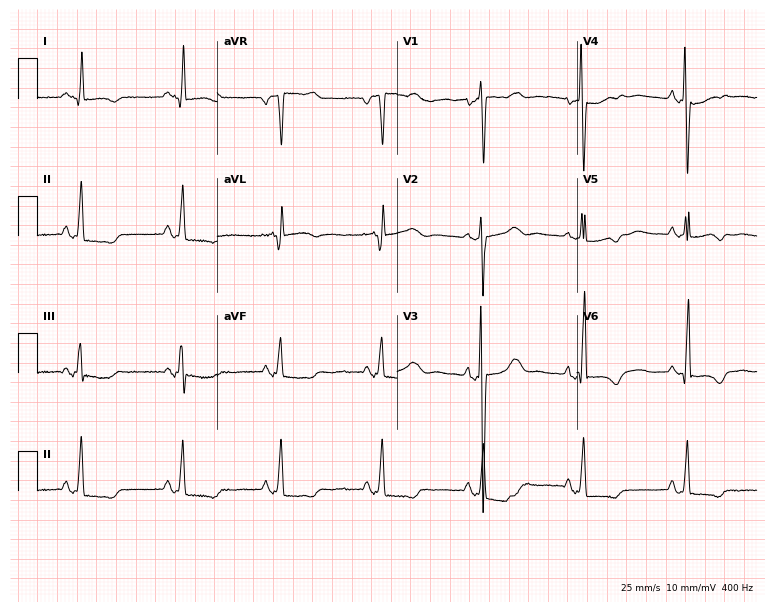
12-lead ECG from a woman, 74 years old. Screened for six findings — first-degree AV block, right bundle branch block (RBBB), left bundle branch block (LBBB), sinus bradycardia, atrial fibrillation (AF), sinus tachycardia — none is recorded.